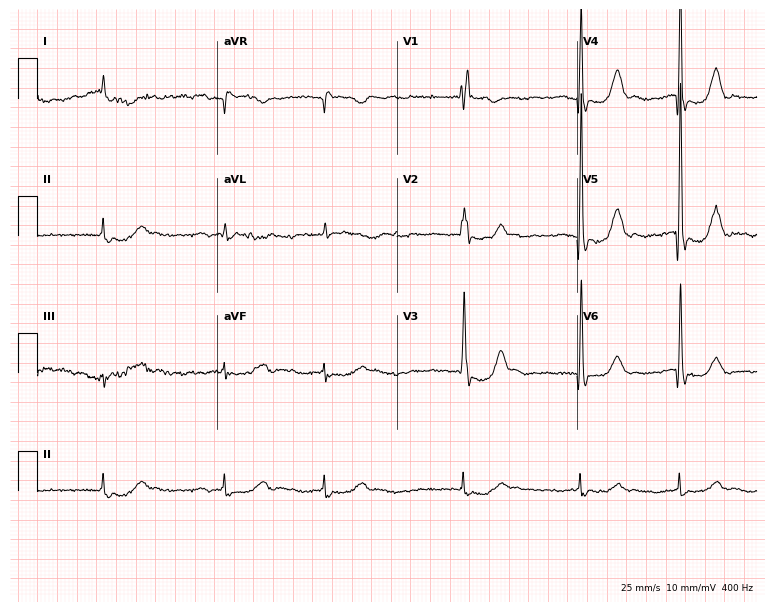
12-lead ECG (7.3-second recording at 400 Hz) from a female patient, 75 years old. Screened for six findings — first-degree AV block, right bundle branch block, left bundle branch block, sinus bradycardia, atrial fibrillation, sinus tachycardia — none is recorded.